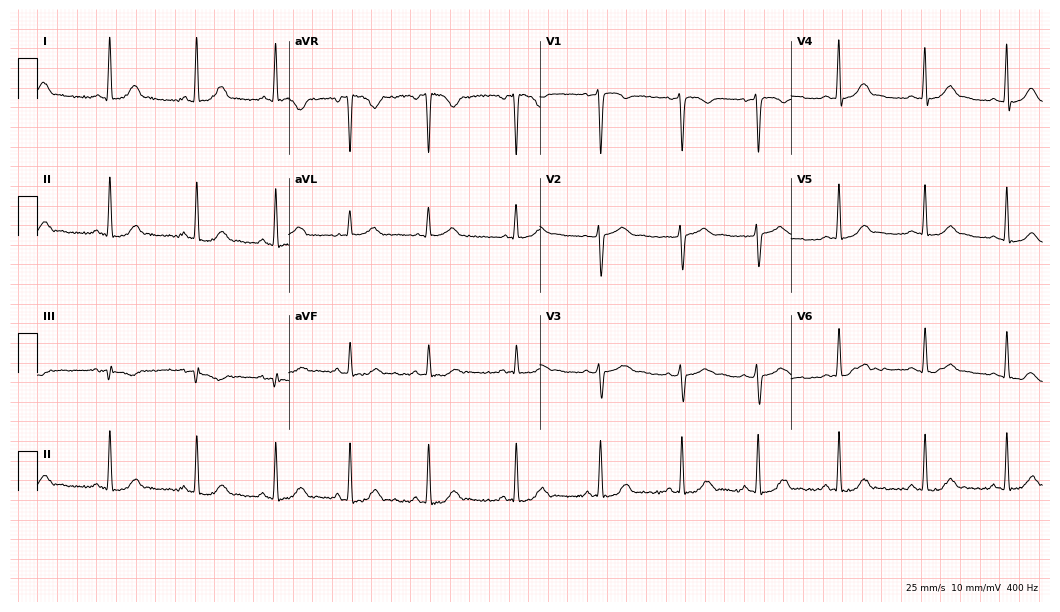
Resting 12-lead electrocardiogram. Patient: a 24-year-old female. None of these six findings is recorded: first-degree AV block, right bundle branch block, left bundle branch block, sinus bradycardia, atrial fibrillation, sinus tachycardia.